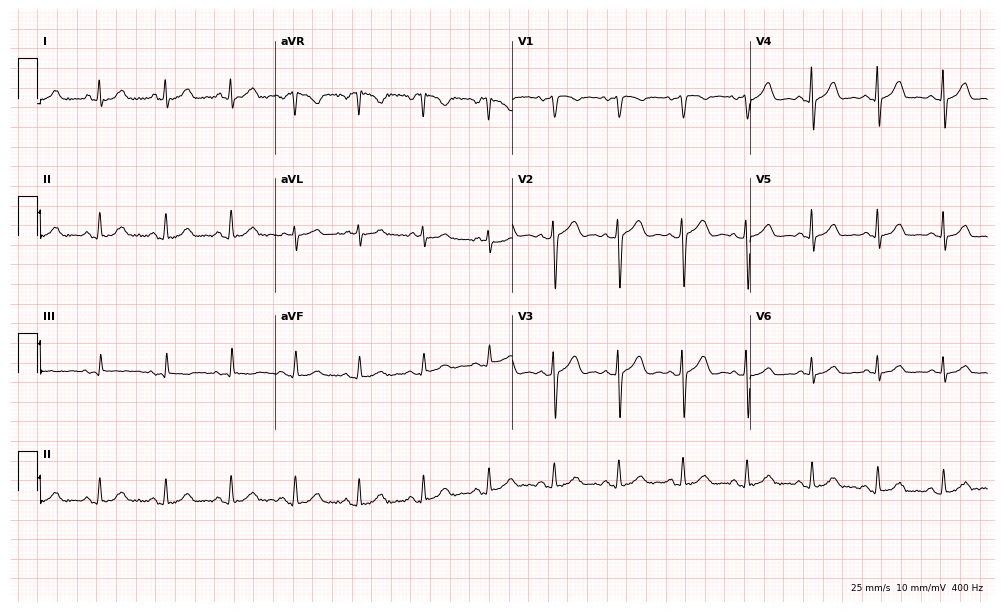
Resting 12-lead electrocardiogram. Patient: a 63-year-old woman. Read as a normal ECG.